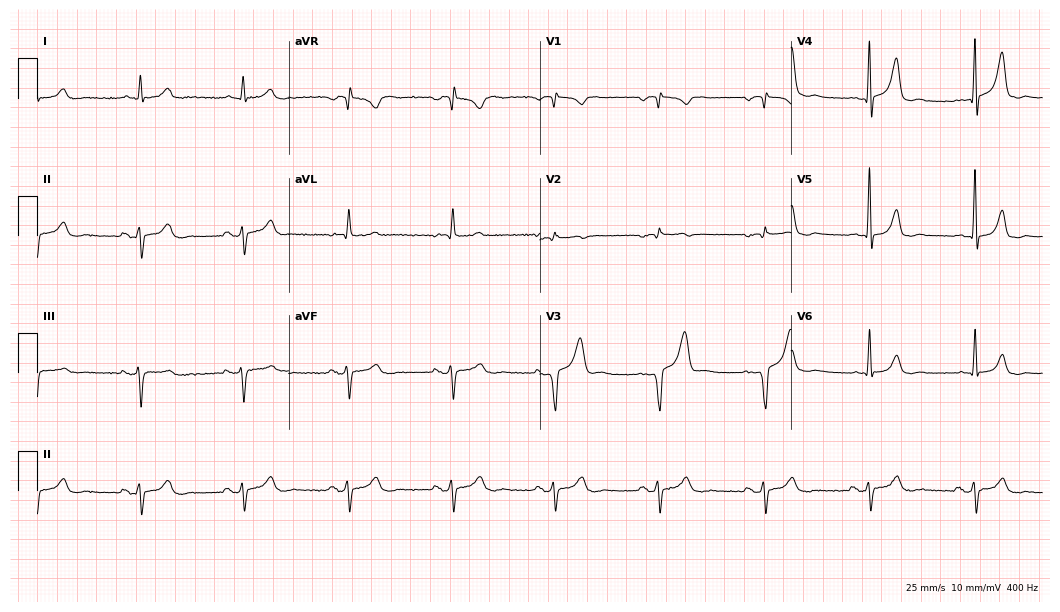
Resting 12-lead electrocardiogram (10.2-second recording at 400 Hz). Patient: a 62-year-old male. None of these six findings is recorded: first-degree AV block, right bundle branch block (RBBB), left bundle branch block (LBBB), sinus bradycardia, atrial fibrillation (AF), sinus tachycardia. Only these six findings were labelled.